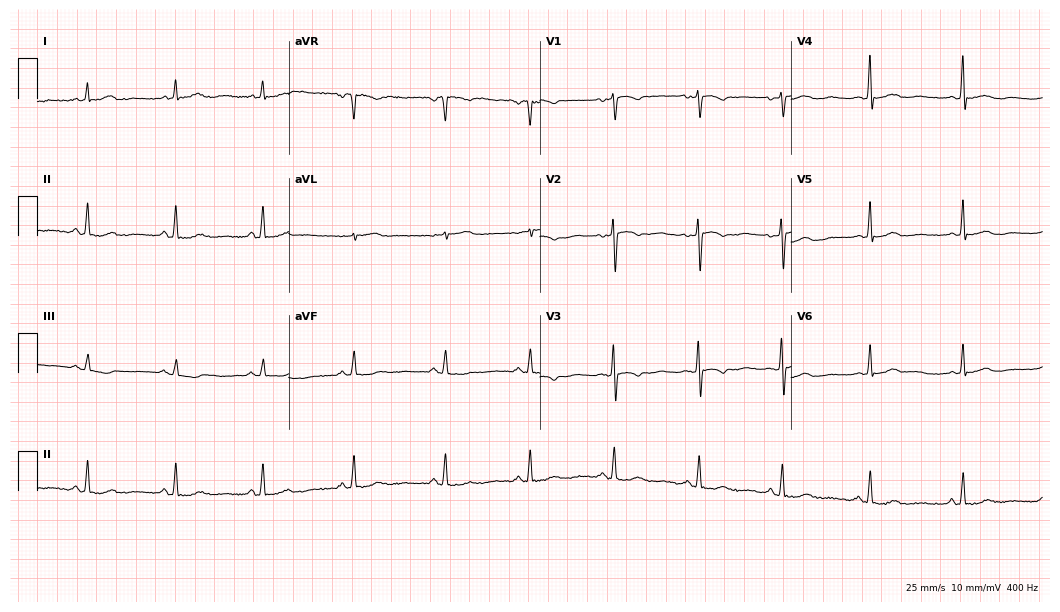
12-lead ECG (10.2-second recording at 400 Hz) from a female patient, 49 years old. Screened for six findings — first-degree AV block, right bundle branch block (RBBB), left bundle branch block (LBBB), sinus bradycardia, atrial fibrillation (AF), sinus tachycardia — none is recorded.